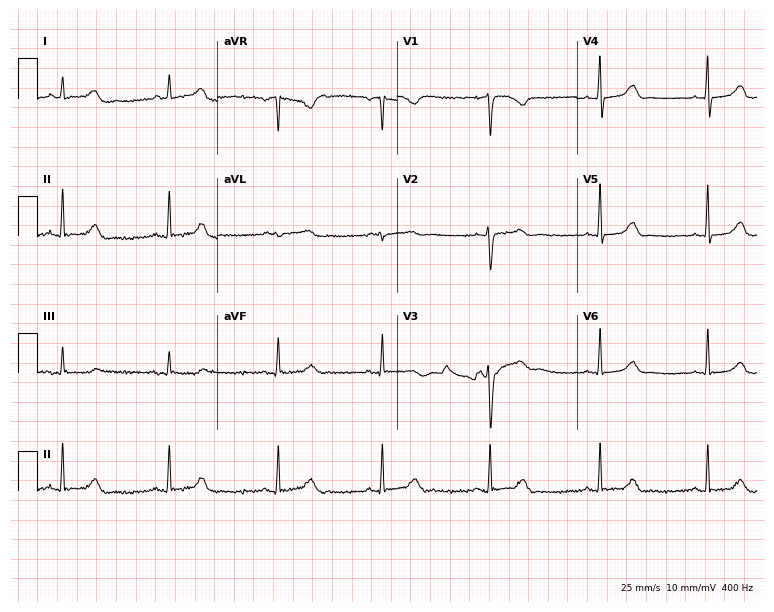
Resting 12-lead electrocardiogram (7.3-second recording at 400 Hz). Patient: a female, 46 years old. Read as a normal ECG.